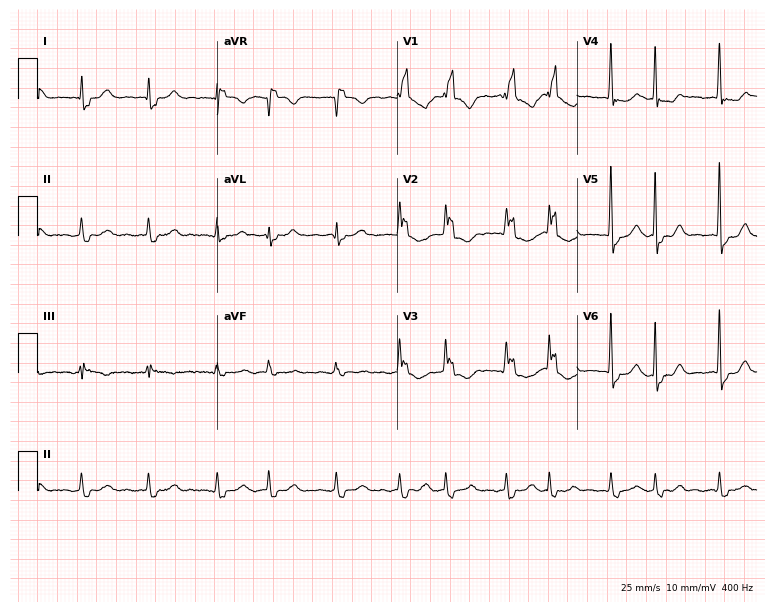
Standard 12-lead ECG recorded from a female, 73 years old. The tracing shows right bundle branch block, atrial fibrillation.